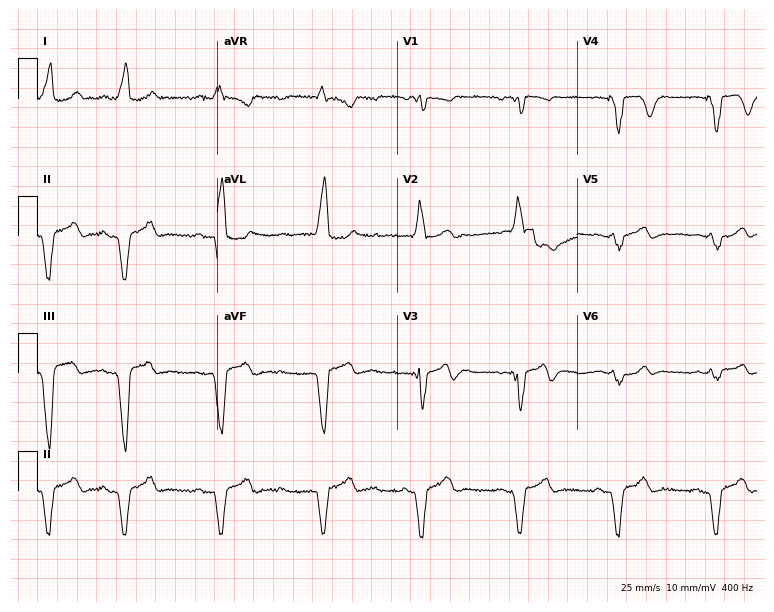
Standard 12-lead ECG recorded from a 58-year-old female (7.3-second recording at 400 Hz). None of these six findings is recorded: first-degree AV block, right bundle branch block, left bundle branch block, sinus bradycardia, atrial fibrillation, sinus tachycardia.